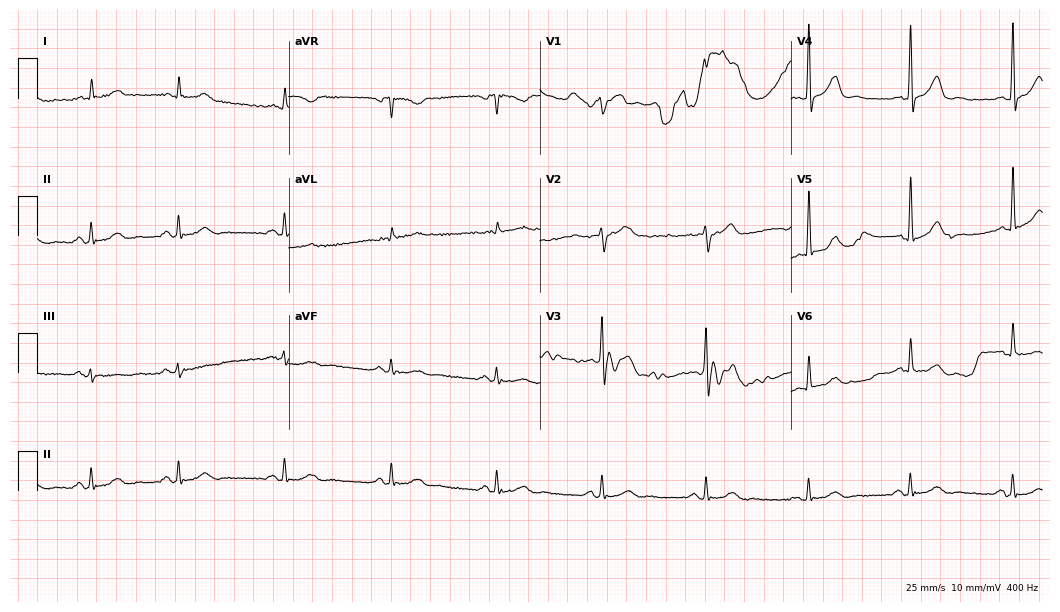
Electrocardiogram (10.2-second recording at 400 Hz), a male patient, 62 years old. Of the six screened findings (first-degree AV block, right bundle branch block (RBBB), left bundle branch block (LBBB), sinus bradycardia, atrial fibrillation (AF), sinus tachycardia), none is recorded.